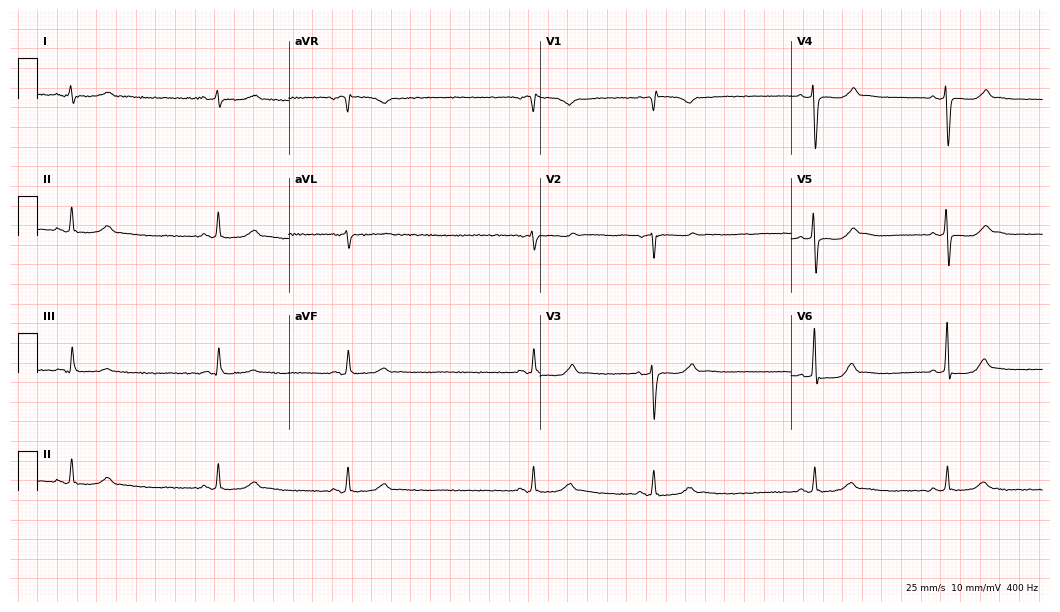
ECG — a female, 55 years old. Findings include sinus bradycardia (a sinus rate of 50 beats per minute or less).